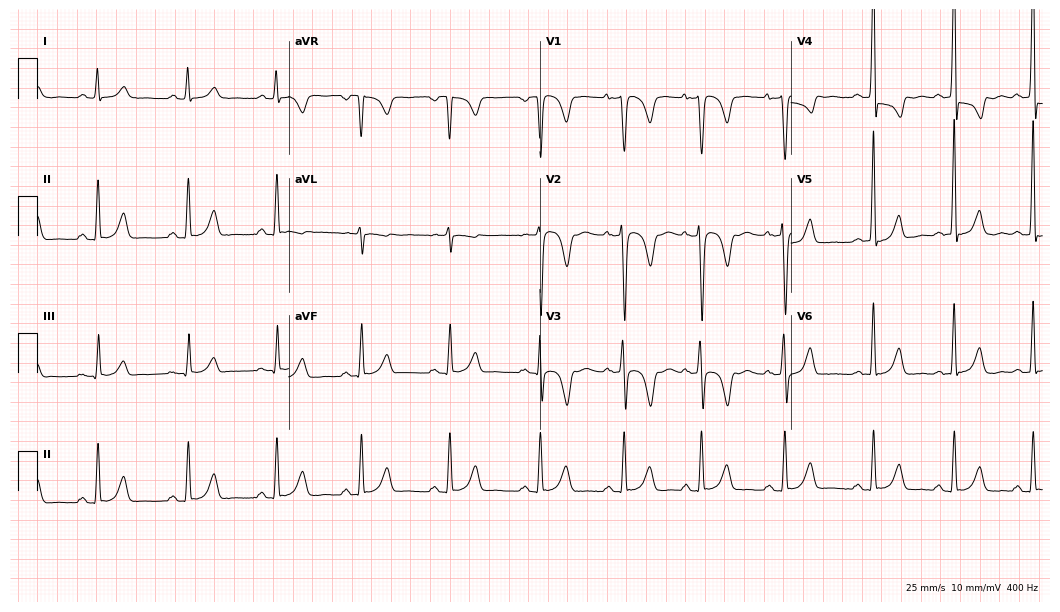
Standard 12-lead ECG recorded from a 32-year-old woman (10.2-second recording at 400 Hz). Read as a normal ECG.